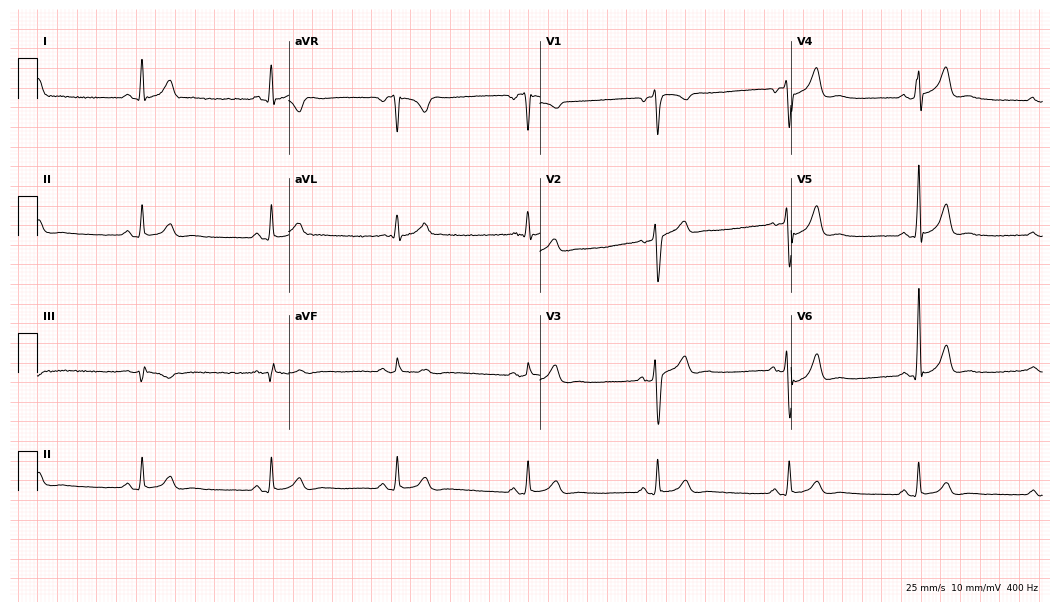
Resting 12-lead electrocardiogram. Patient: a 37-year-old male. The tracing shows sinus bradycardia (a sinus rate of 50 beats per minute or less).